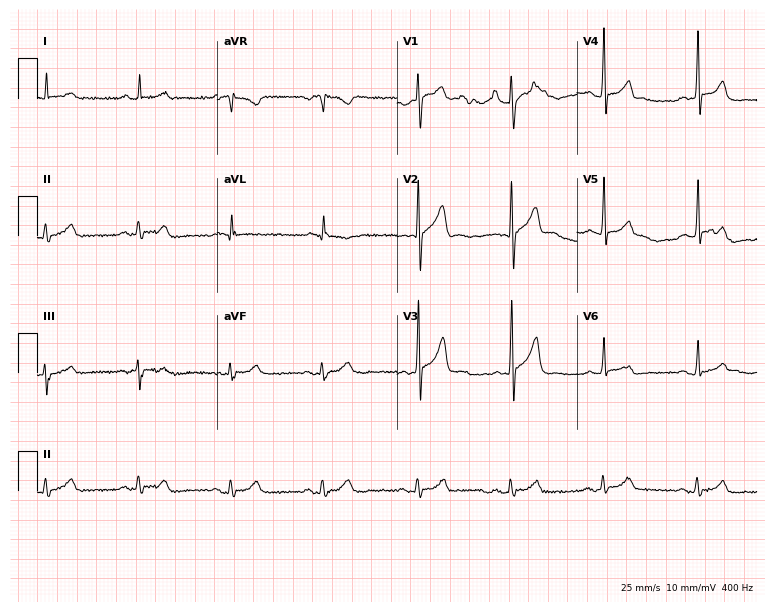
Standard 12-lead ECG recorded from a male patient, 63 years old. Read as a normal ECG.